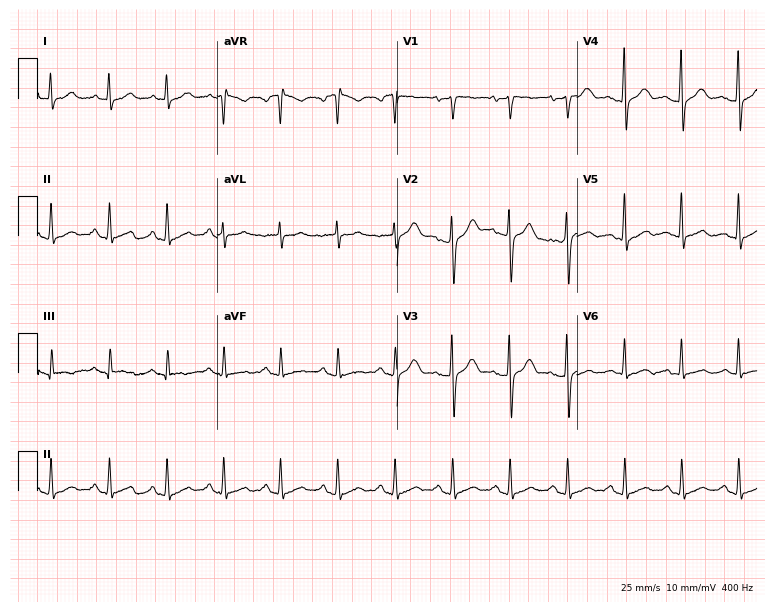
Resting 12-lead electrocardiogram (7.3-second recording at 400 Hz). Patient: a 48-year-old male. The tracing shows sinus tachycardia (a sinus rate of 100 beats per minute or more).